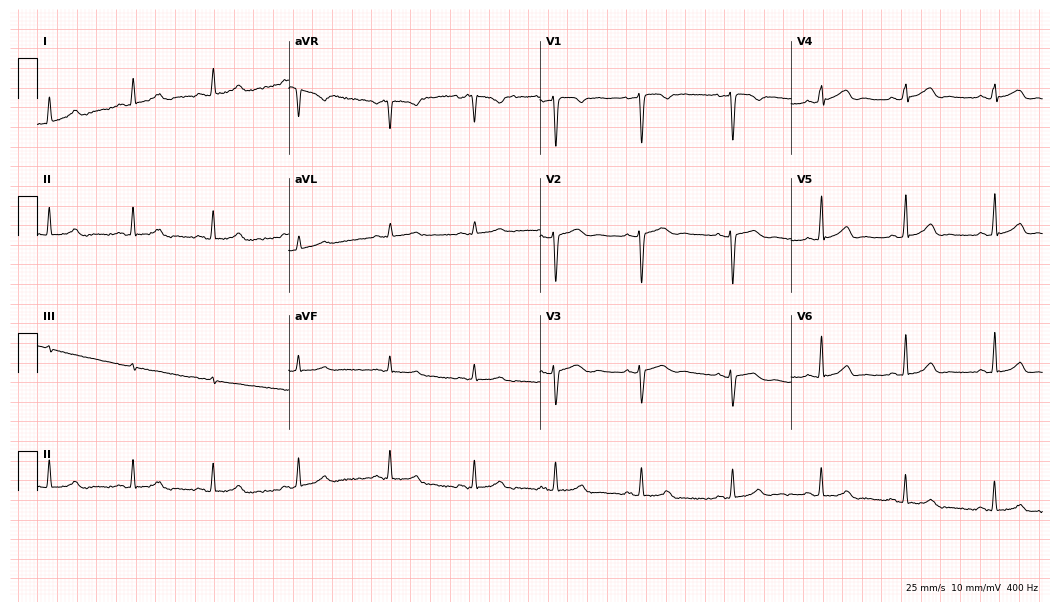
Electrocardiogram (10.2-second recording at 400 Hz), a female patient, 38 years old. Overall reading on record: normal ECG.